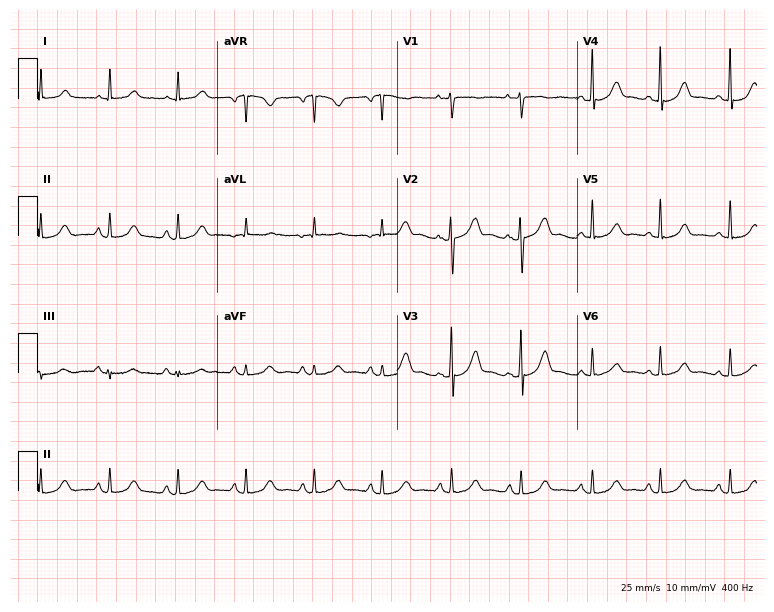
Electrocardiogram (7.3-second recording at 400 Hz), a 54-year-old female patient. Overall reading on record: normal ECG.